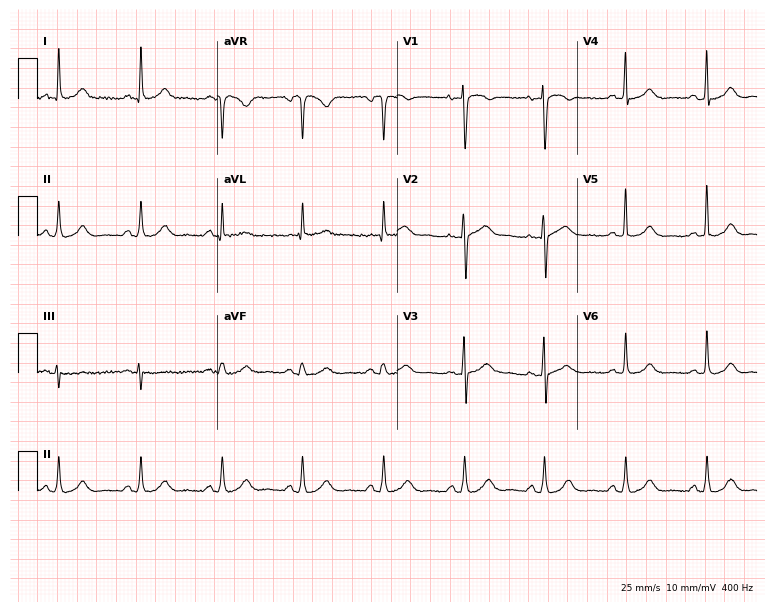
12-lead ECG from a female patient, 72 years old. Labelled as a normal ECG.